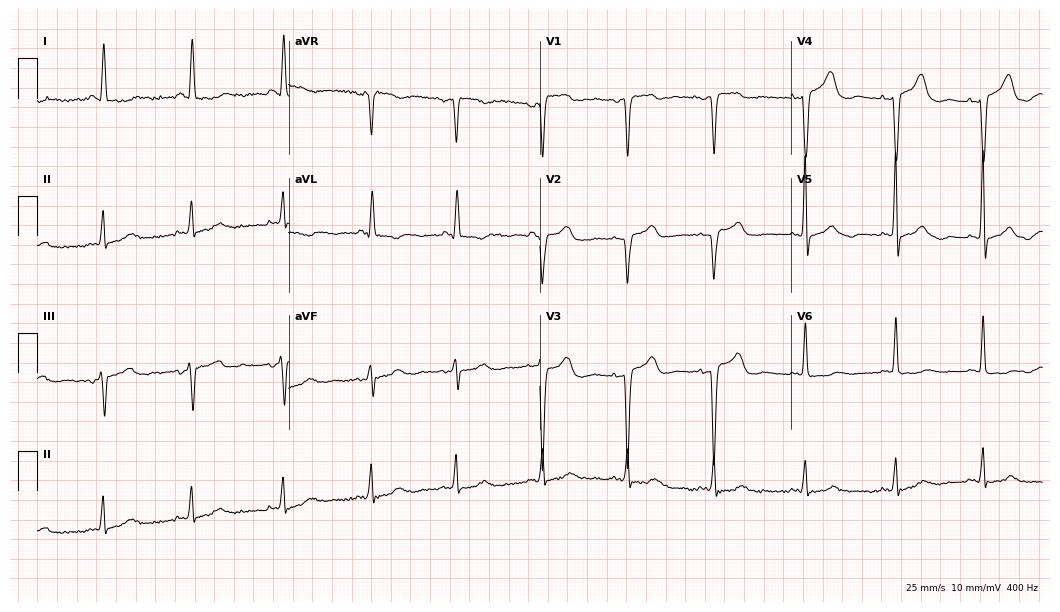
12-lead ECG from a female, 58 years old (10.2-second recording at 400 Hz). No first-degree AV block, right bundle branch block, left bundle branch block, sinus bradycardia, atrial fibrillation or sinus tachycardia recorded for this tracing.